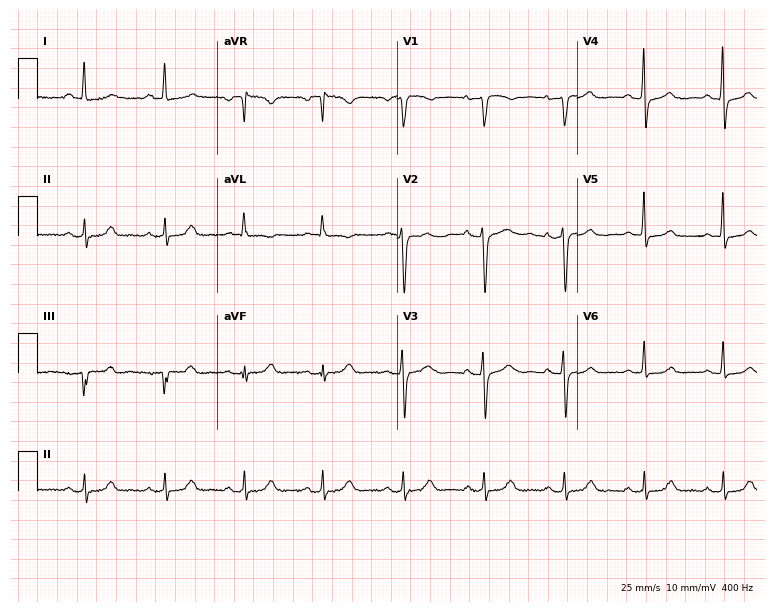
12-lead ECG (7.3-second recording at 400 Hz) from a 68-year-old female. Screened for six findings — first-degree AV block, right bundle branch block (RBBB), left bundle branch block (LBBB), sinus bradycardia, atrial fibrillation (AF), sinus tachycardia — none is recorded. Only these six findings were labelled.